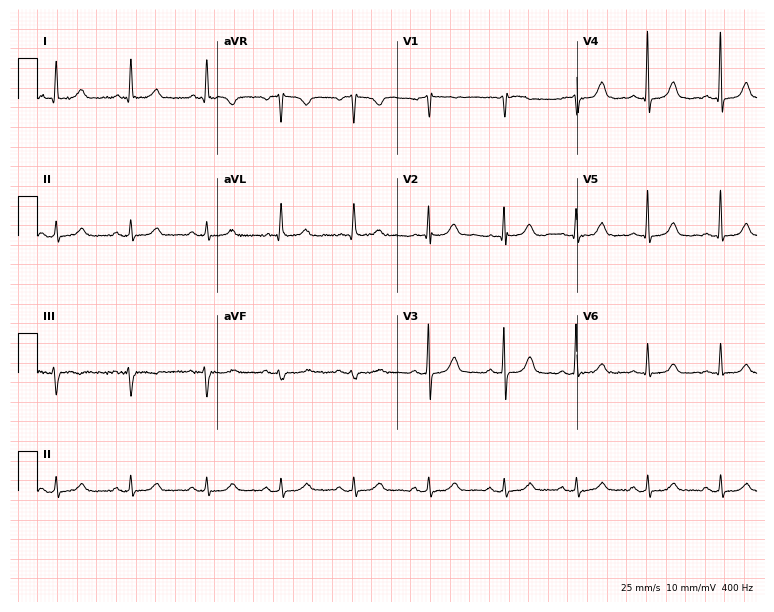
Electrocardiogram, a woman, 62 years old. Of the six screened findings (first-degree AV block, right bundle branch block, left bundle branch block, sinus bradycardia, atrial fibrillation, sinus tachycardia), none is recorded.